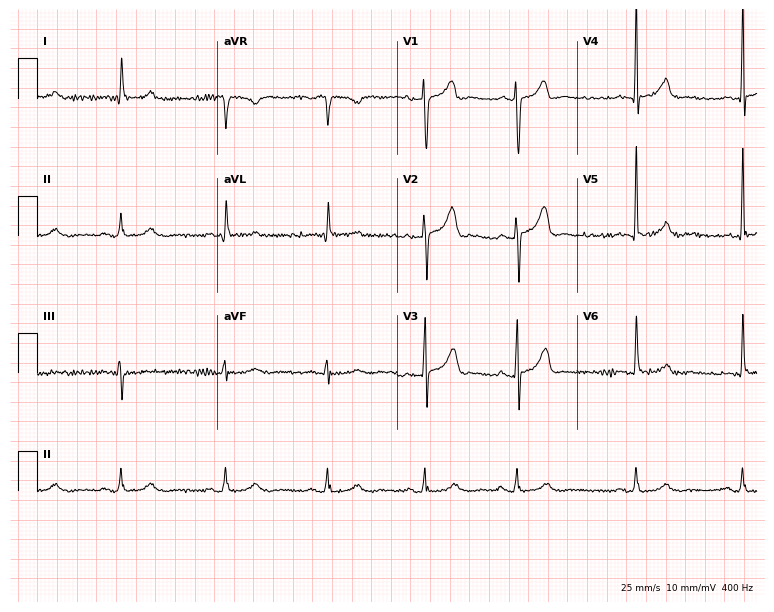
Resting 12-lead electrocardiogram. Patient: a 65-year-old man. None of these six findings is recorded: first-degree AV block, right bundle branch block (RBBB), left bundle branch block (LBBB), sinus bradycardia, atrial fibrillation (AF), sinus tachycardia. Other findings, if any, are not listed.